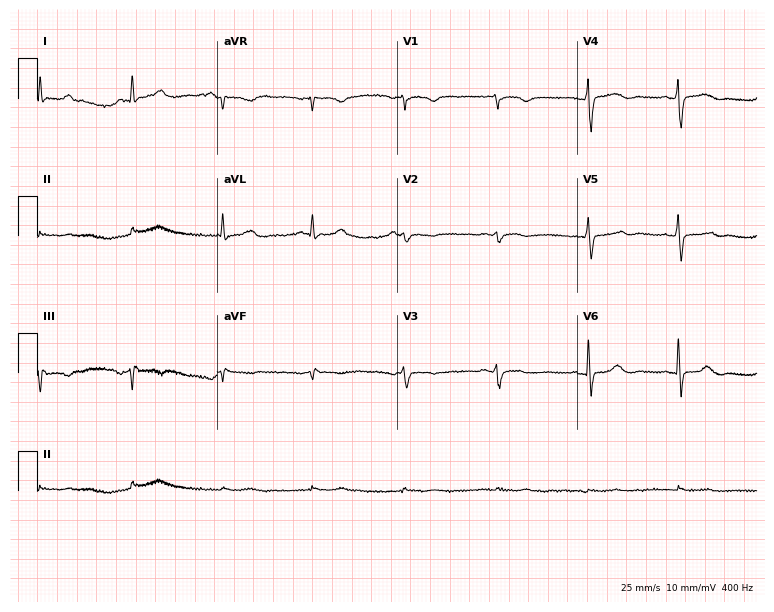
Resting 12-lead electrocardiogram (7.3-second recording at 400 Hz). Patient: a 71-year-old woman. None of these six findings is recorded: first-degree AV block, right bundle branch block, left bundle branch block, sinus bradycardia, atrial fibrillation, sinus tachycardia. Other findings, if any, are not listed.